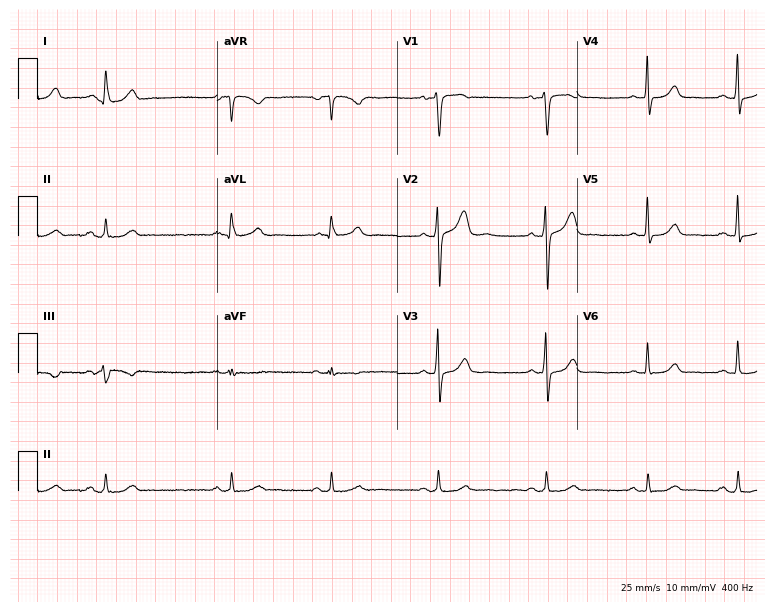
12-lead ECG (7.3-second recording at 400 Hz) from a 37-year-old female. Screened for six findings — first-degree AV block, right bundle branch block (RBBB), left bundle branch block (LBBB), sinus bradycardia, atrial fibrillation (AF), sinus tachycardia — none is recorded. Findings outside these six are not listed.